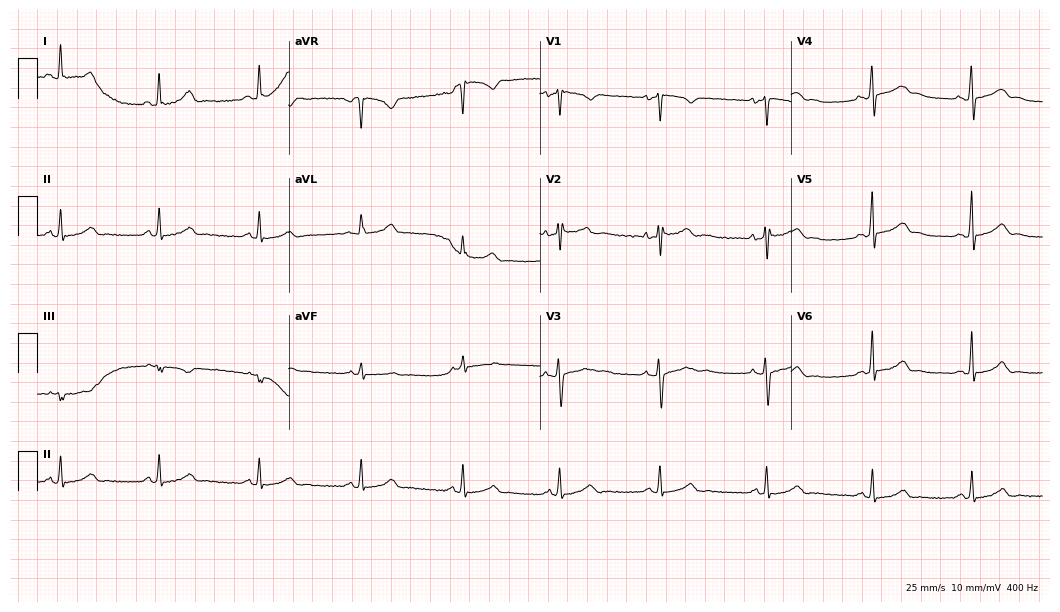
Standard 12-lead ECG recorded from a female, 37 years old. Read as a normal ECG.